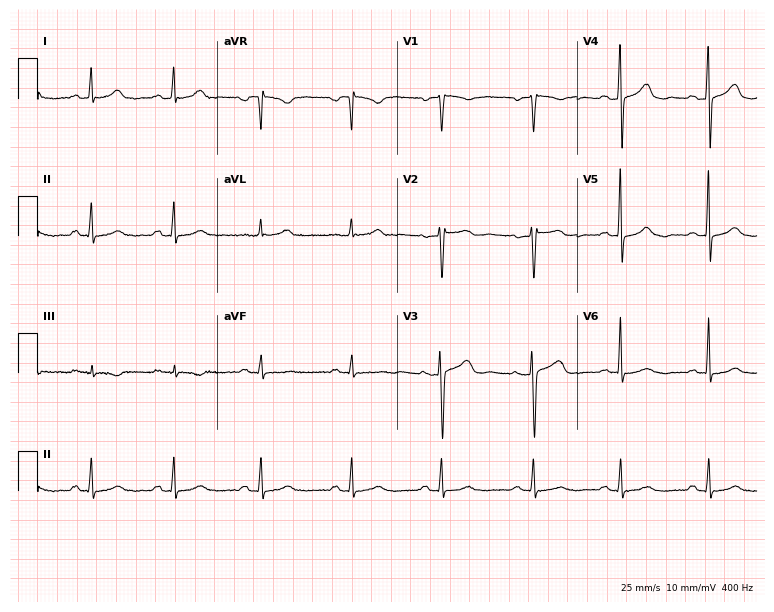
Resting 12-lead electrocardiogram (7.3-second recording at 400 Hz). Patient: a 59-year-old female. Read as a normal ECG.